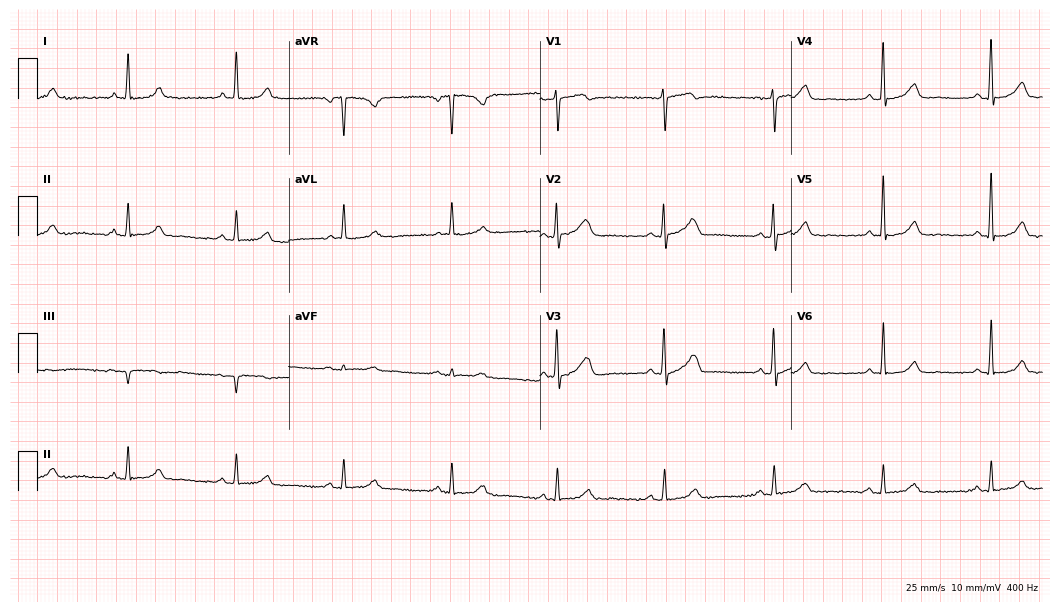
Resting 12-lead electrocardiogram (10.2-second recording at 400 Hz). Patient: a 52-year-old female. Read as a normal ECG.